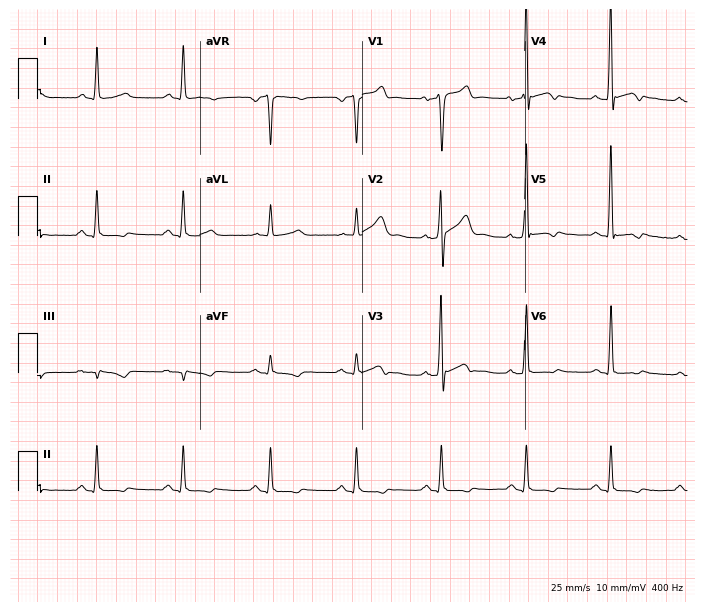
ECG — a man, 57 years old. Screened for six findings — first-degree AV block, right bundle branch block, left bundle branch block, sinus bradycardia, atrial fibrillation, sinus tachycardia — none is recorded. Findings outside these six are not listed.